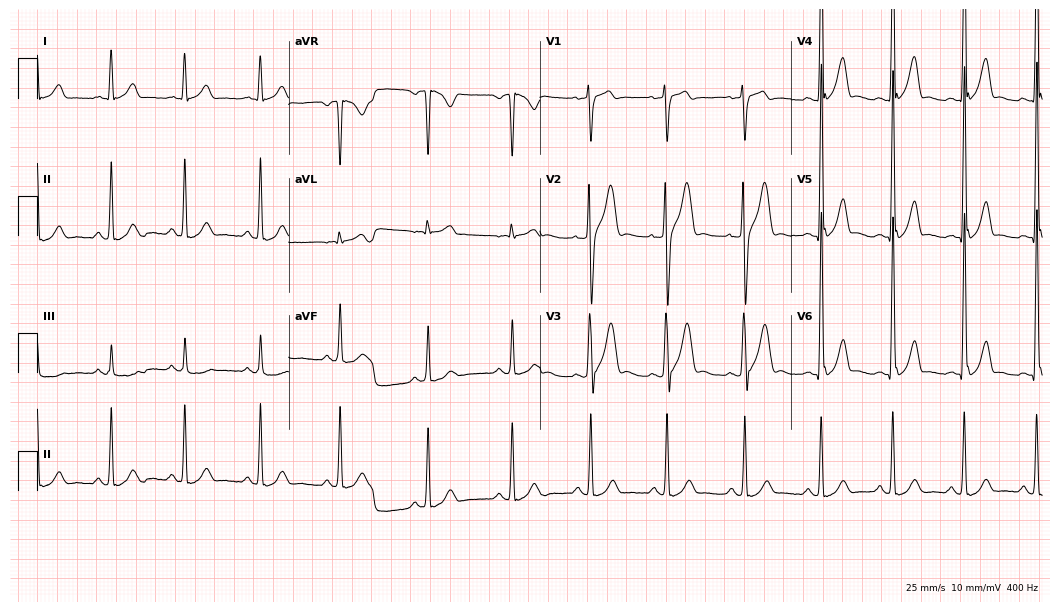
Standard 12-lead ECG recorded from a 36-year-old male patient. Read as a normal ECG.